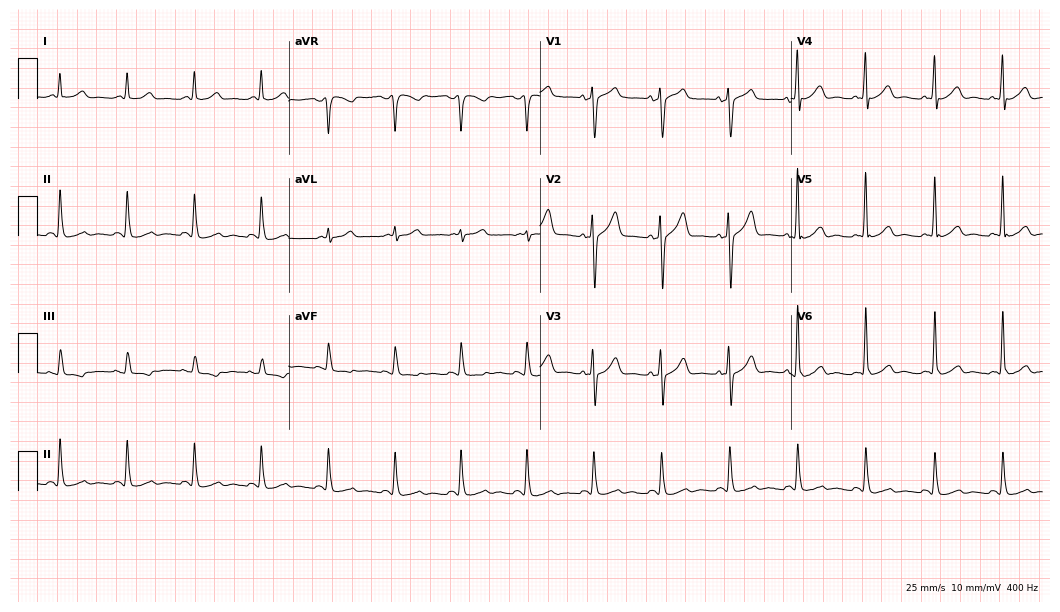
12-lead ECG from a 52-year-old man. No first-degree AV block, right bundle branch block (RBBB), left bundle branch block (LBBB), sinus bradycardia, atrial fibrillation (AF) or sinus tachycardia recorded for this tracing.